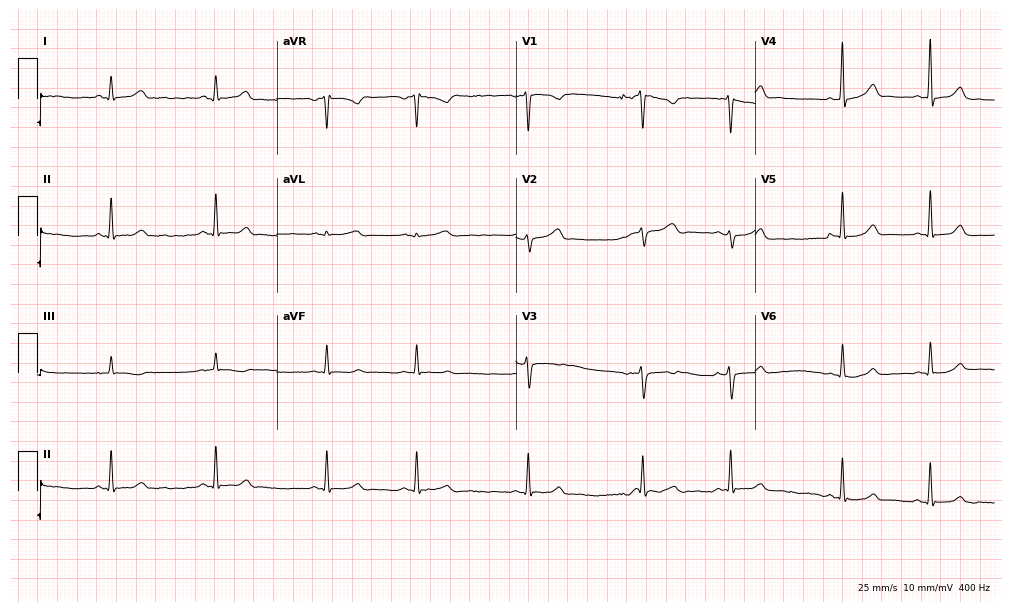
Standard 12-lead ECG recorded from a 24-year-old woman (9.8-second recording at 400 Hz). Read as a normal ECG.